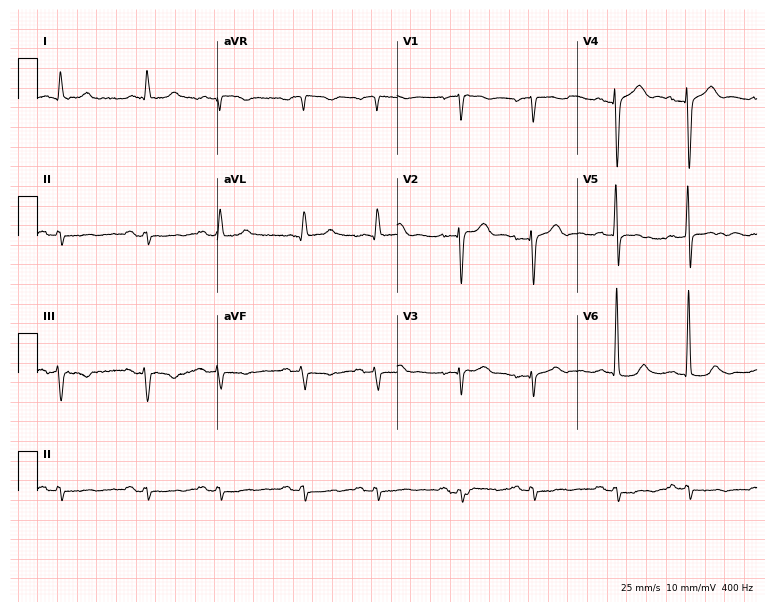
12-lead ECG from a 71-year-old male patient. Screened for six findings — first-degree AV block, right bundle branch block, left bundle branch block, sinus bradycardia, atrial fibrillation, sinus tachycardia — none is recorded. Other findings, if any, are not listed.